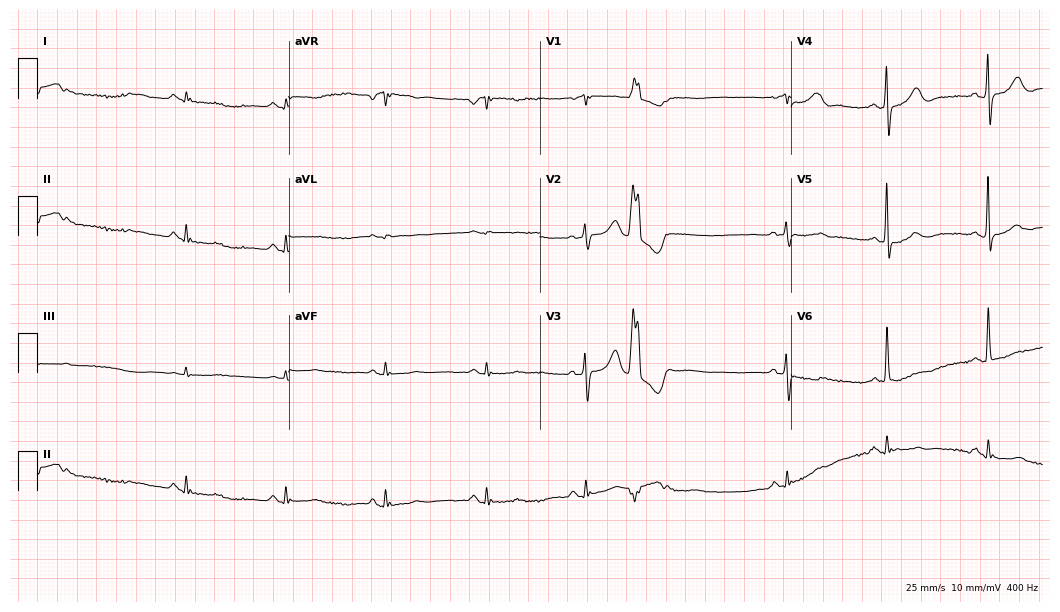
12-lead ECG (10.2-second recording at 400 Hz) from a male, 86 years old. Screened for six findings — first-degree AV block, right bundle branch block, left bundle branch block, sinus bradycardia, atrial fibrillation, sinus tachycardia — none is recorded.